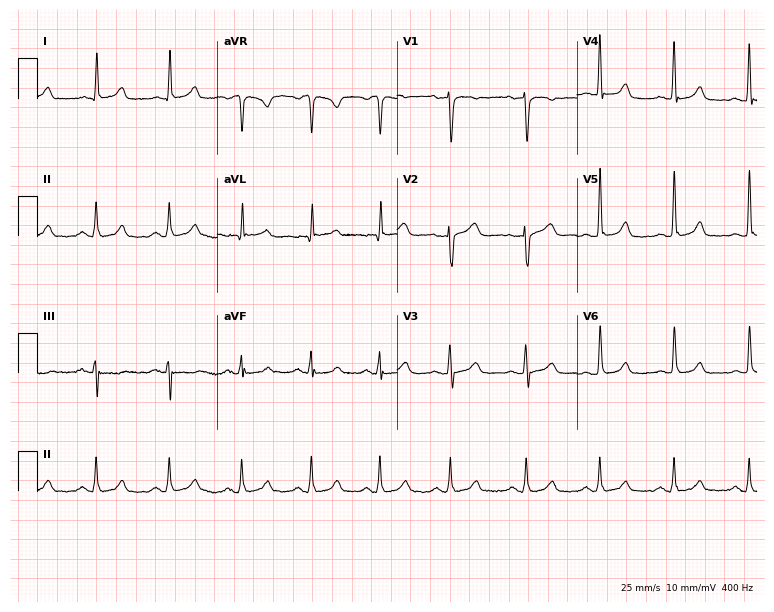
Resting 12-lead electrocardiogram. Patient: a 50-year-old female. None of these six findings is recorded: first-degree AV block, right bundle branch block, left bundle branch block, sinus bradycardia, atrial fibrillation, sinus tachycardia.